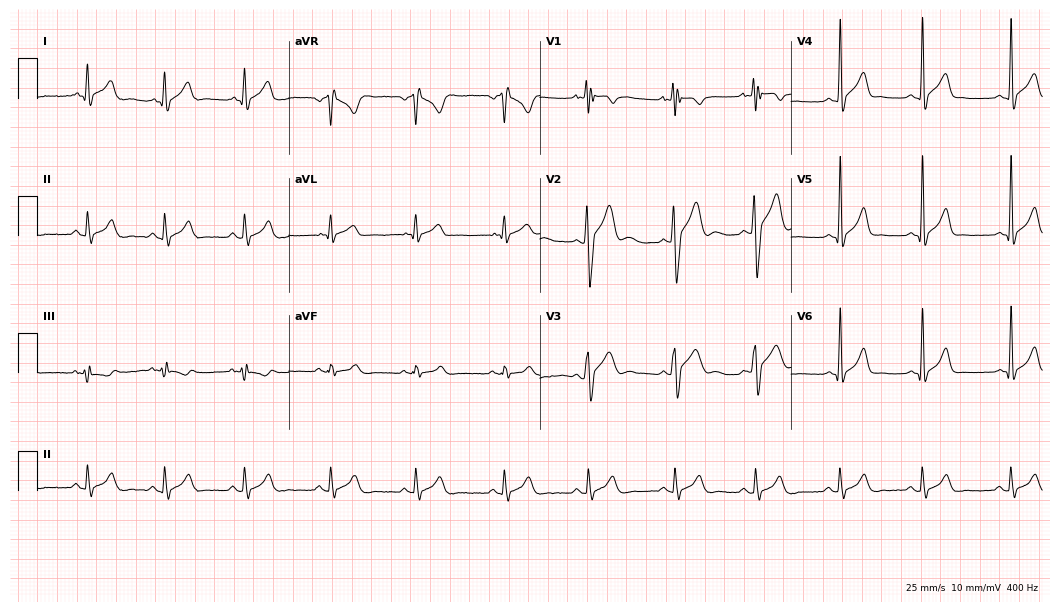
ECG (10.2-second recording at 400 Hz) — a 19-year-old male. Screened for six findings — first-degree AV block, right bundle branch block, left bundle branch block, sinus bradycardia, atrial fibrillation, sinus tachycardia — none is recorded.